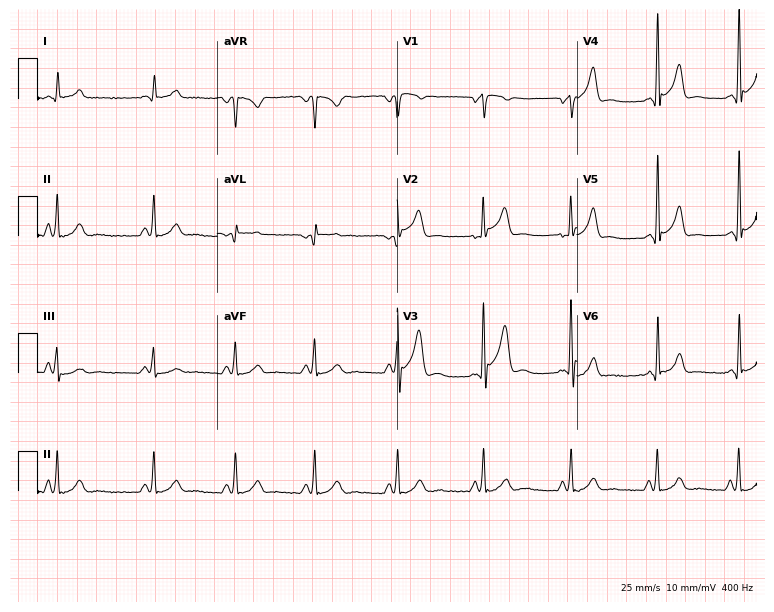
12-lead ECG from a 43-year-old man. No first-degree AV block, right bundle branch block, left bundle branch block, sinus bradycardia, atrial fibrillation or sinus tachycardia recorded for this tracing.